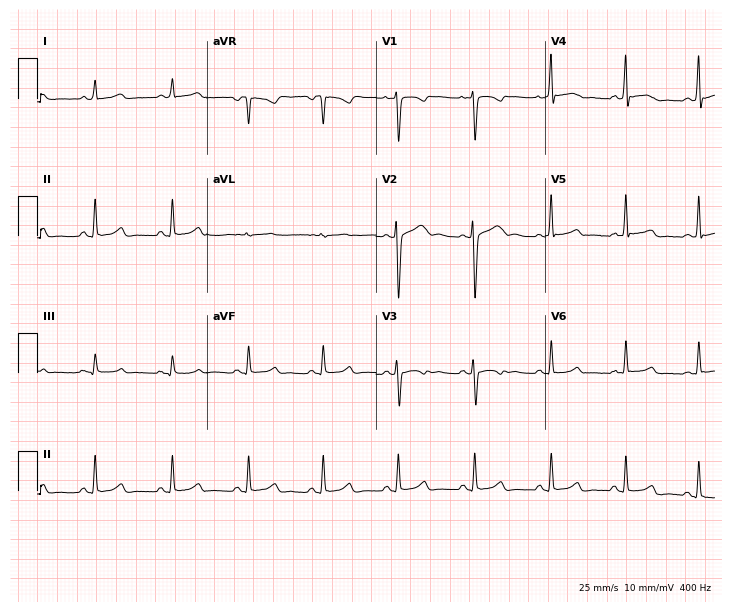
Electrocardiogram (6.9-second recording at 400 Hz), a female patient, 27 years old. Of the six screened findings (first-degree AV block, right bundle branch block (RBBB), left bundle branch block (LBBB), sinus bradycardia, atrial fibrillation (AF), sinus tachycardia), none is recorded. Other findings, if any, are not listed.